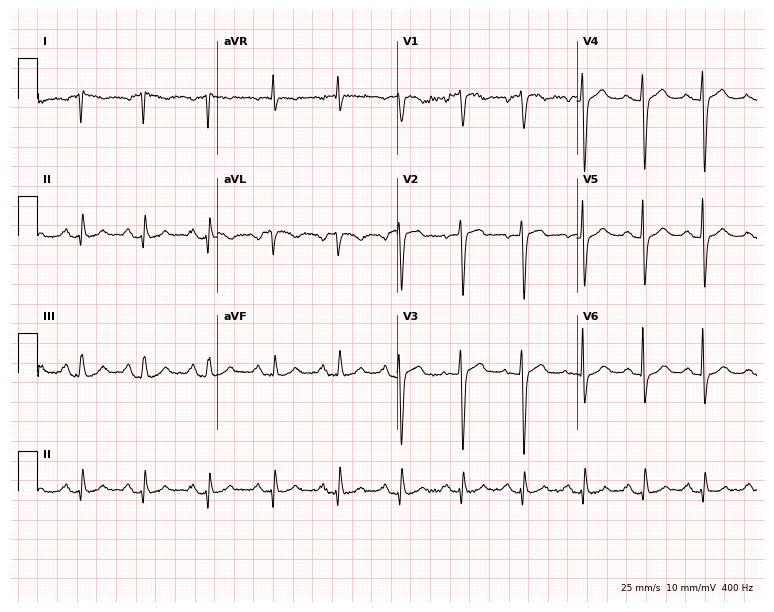
ECG (7.3-second recording at 400 Hz) — a 79-year-old female patient. Screened for six findings — first-degree AV block, right bundle branch block, left bundle branch block, sinus bradycardia, atrial fibrillation, sinus tachycardia — none is recorded.